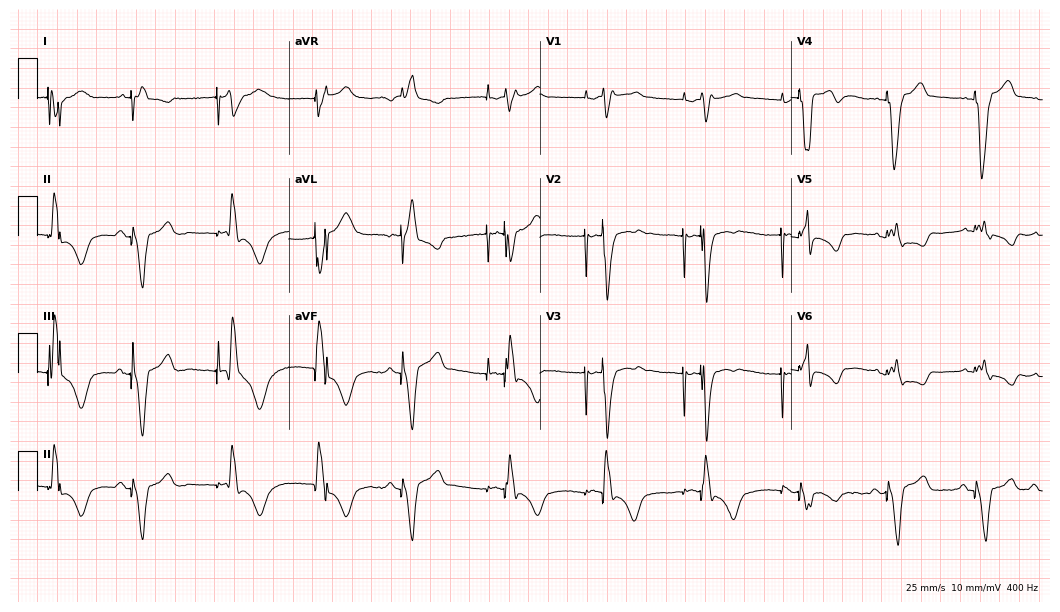
12-lead ECG from a man, 81 years old (10.2-second recording at 400 Hz). No first-degree AV block, right bundle branch block (RBBB), left bundle branch block (LBBB), sinus bradycardia, atrial fibrillation (AF) or sinus tachycardia recorded for this tracing.